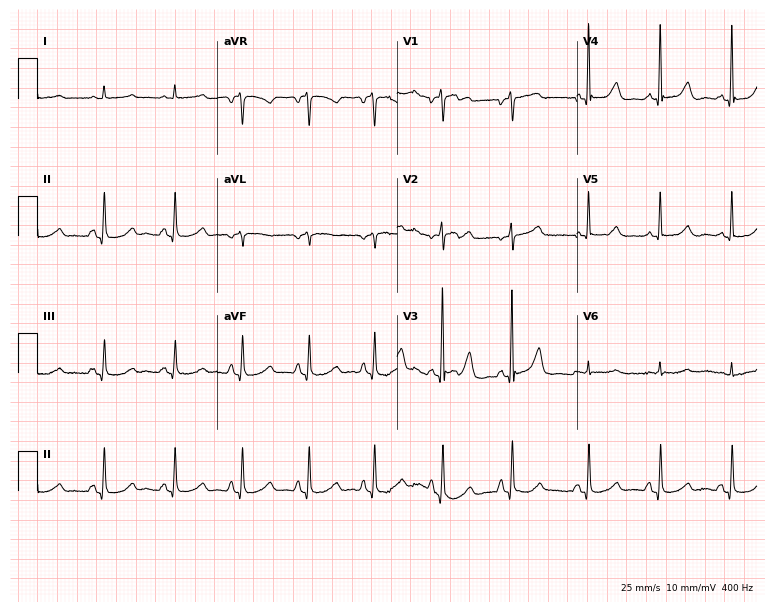
Standard 12-lead ECG recorded from a woman, 64 years old (7.3-second recording at 400 Hz). Read as a normal ECG.